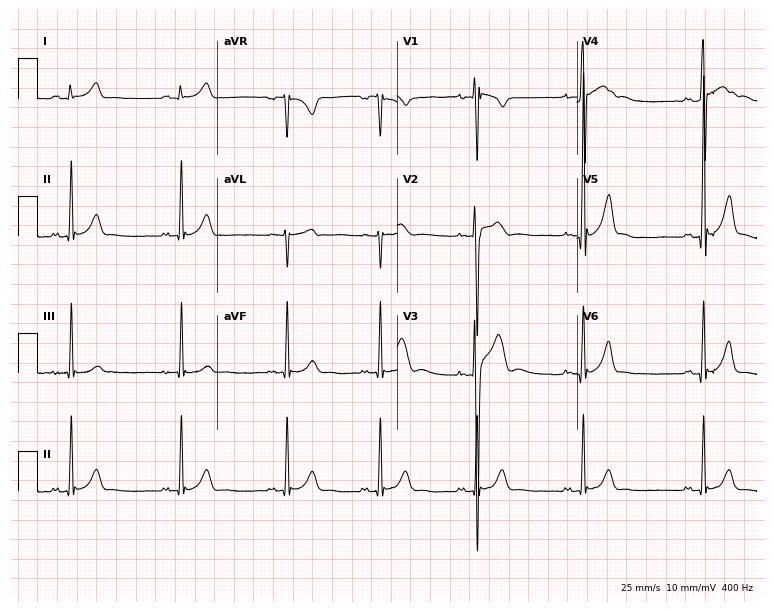
Electrocardiogram, a male patient, 17 years old. Overall reading on record: normal ECG.